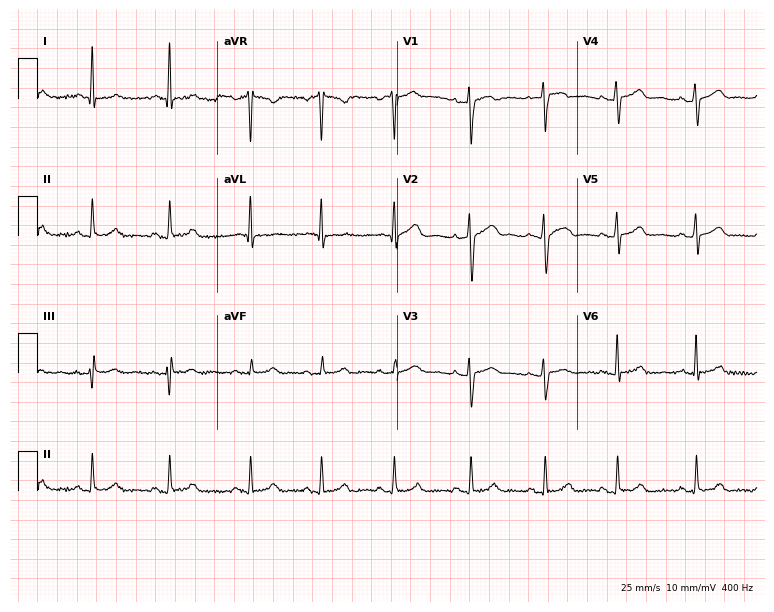
Standard 12-lead ECG recorded from a female patient, 35 years old. Read as a normal ECG.